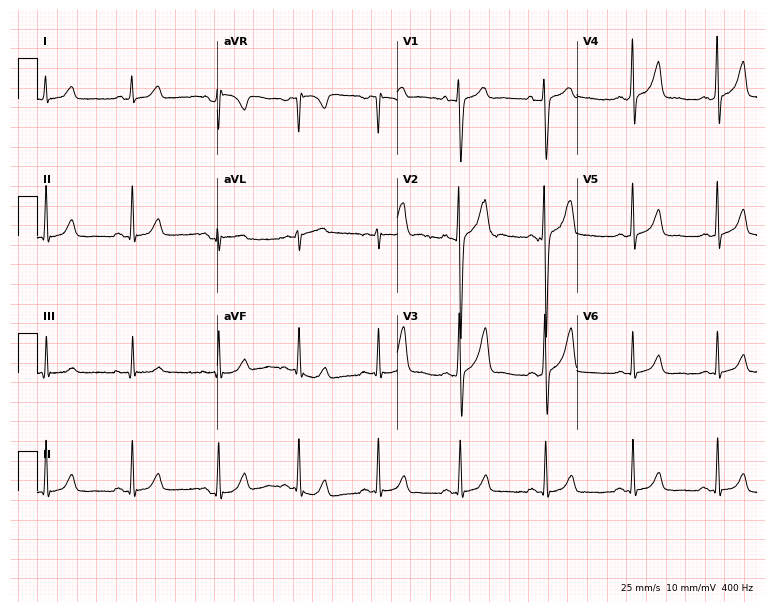
Electrocardiogram (7.3-second recording at 400 Hz), a 28-year-old male. Of the six screened findings (first-degree AV block, right bundle branch block, left bundle branch block, sinus bradycardia, atrial fibrillation, sinus tachycardia), none is recorded. Findings outside these six are not listed.